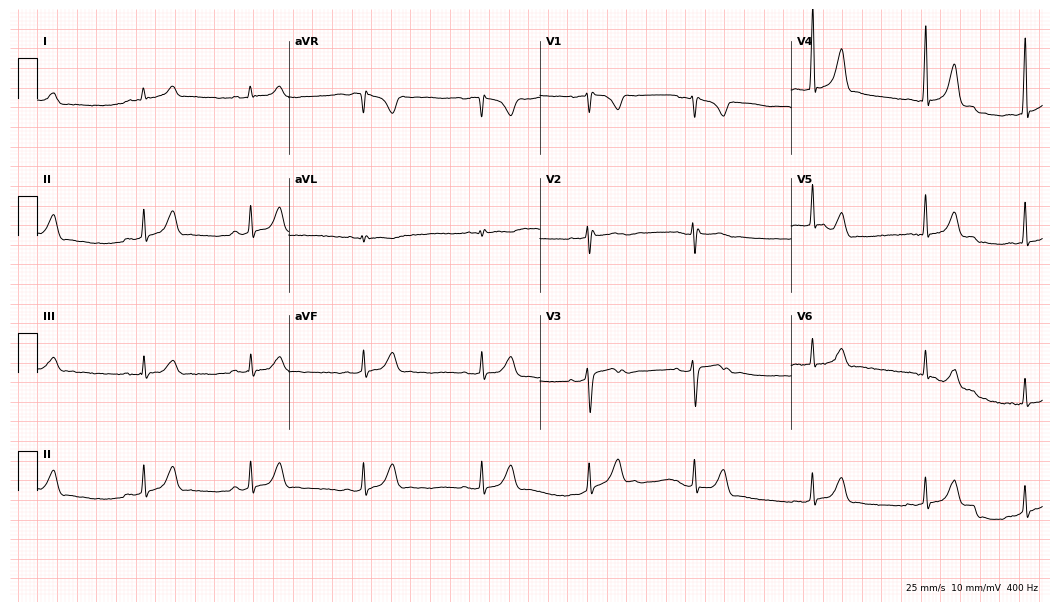
ECG — a male, 19 years old. Labelled as a normal ECG.